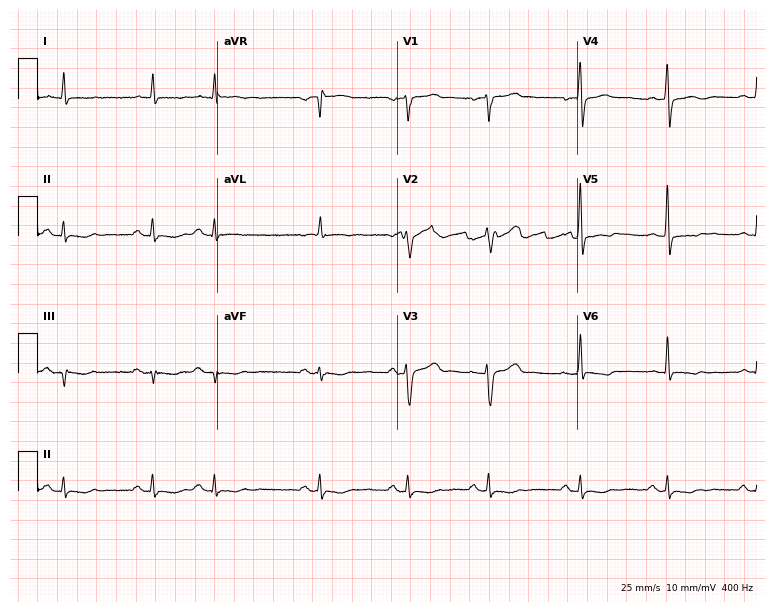
Standard 12-lead ECG recorded from a 79-year-old man (7.3-second recording at 400 Hz). None of these six findings is recorded: first-degree AV block, right bundle branch block, left bundle branch block, sinus bradycardia, atrial fibrillation, sinus tachycardia.